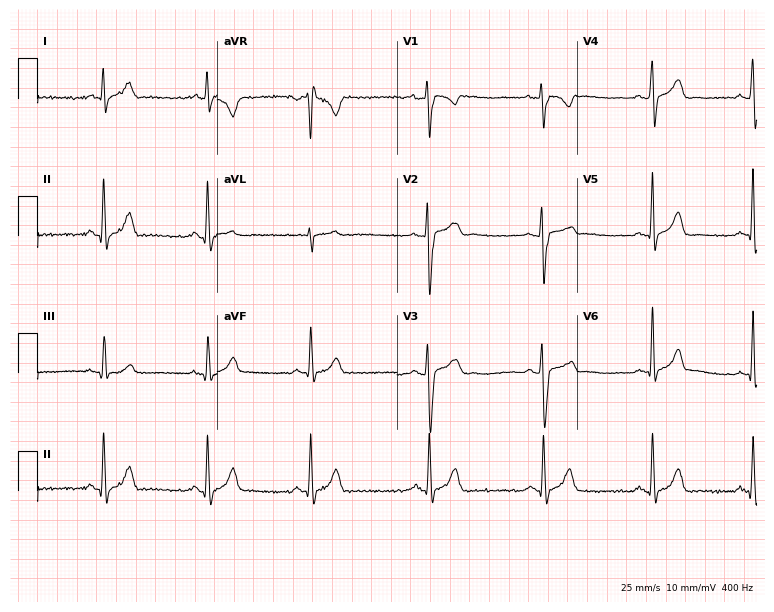
Electrocardiogram, a 21-year-old male. Overall reading on record: normal ECG.